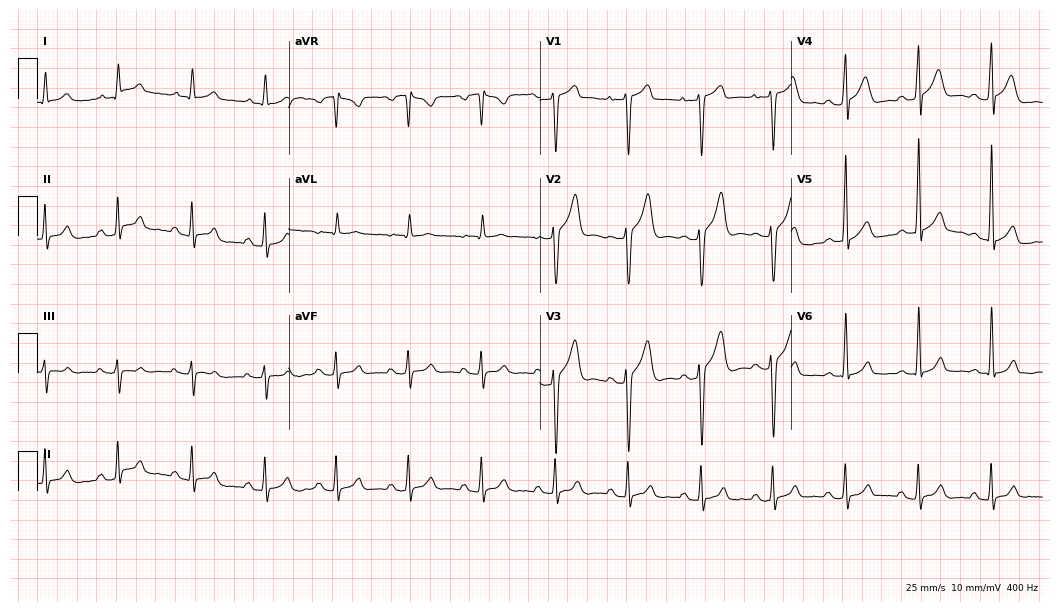
Electrocardiogram, a 25-year-old male. Overall reading on record: normal ECG.